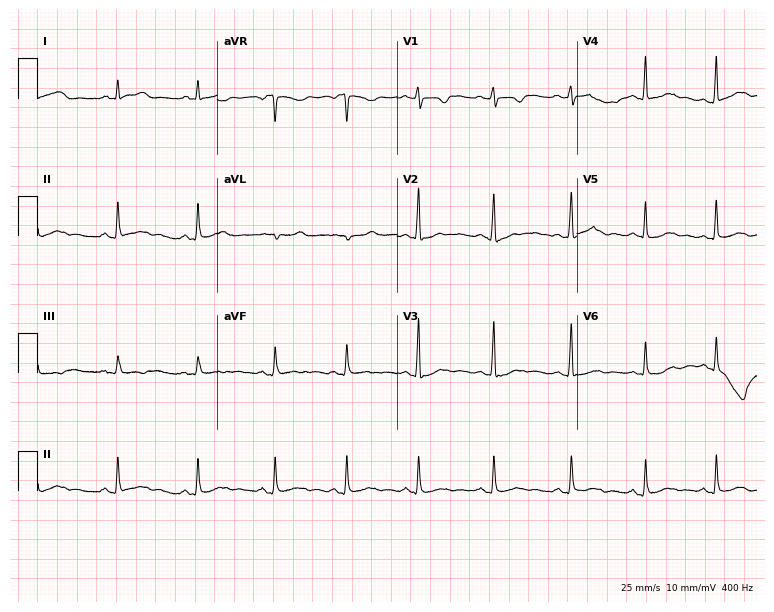
Standard 12-lead ECG recorded from a 19-year-old woman (7.3-second recording at 400 Hz). None of these six findings is recorded: first-degree AV block, right bundle branch block (RBBB), left bundle branch block (LBBB), sinus bradycardia, atrial fibrillation (AF), sinus tachycardia. Other findings, if any, are not listed.